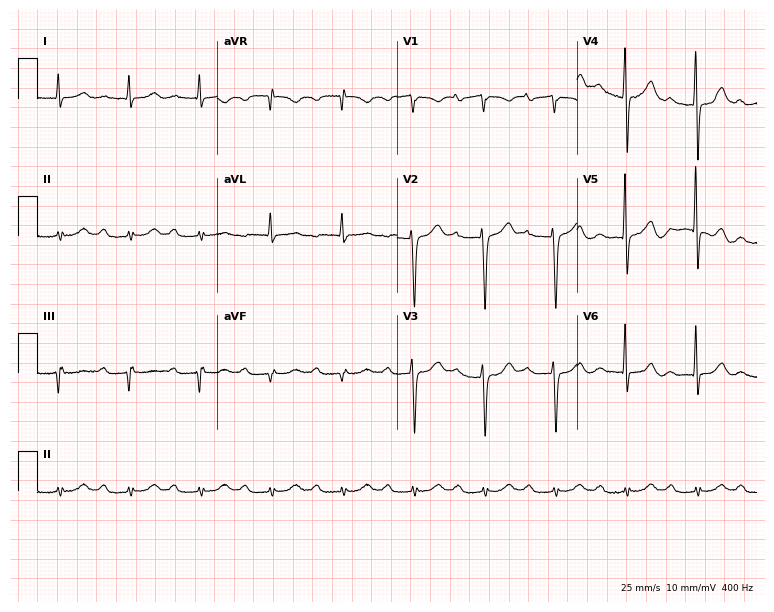
12-lead ECG (7.3-second recording at 400 Hz) from a male, 88 years old. Findings include first-degree AV block.